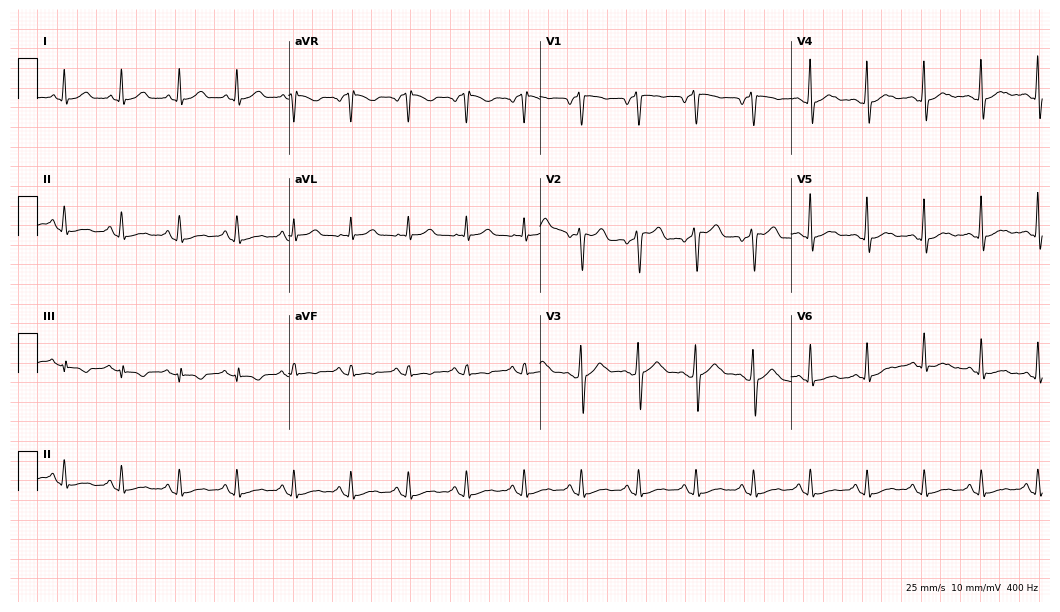
12-lead ECG from a man, 43 years old (10.2-second recording at 400 Hz). Shows sinus tachycardia (a sinus rate of 100 beats per minute or more).